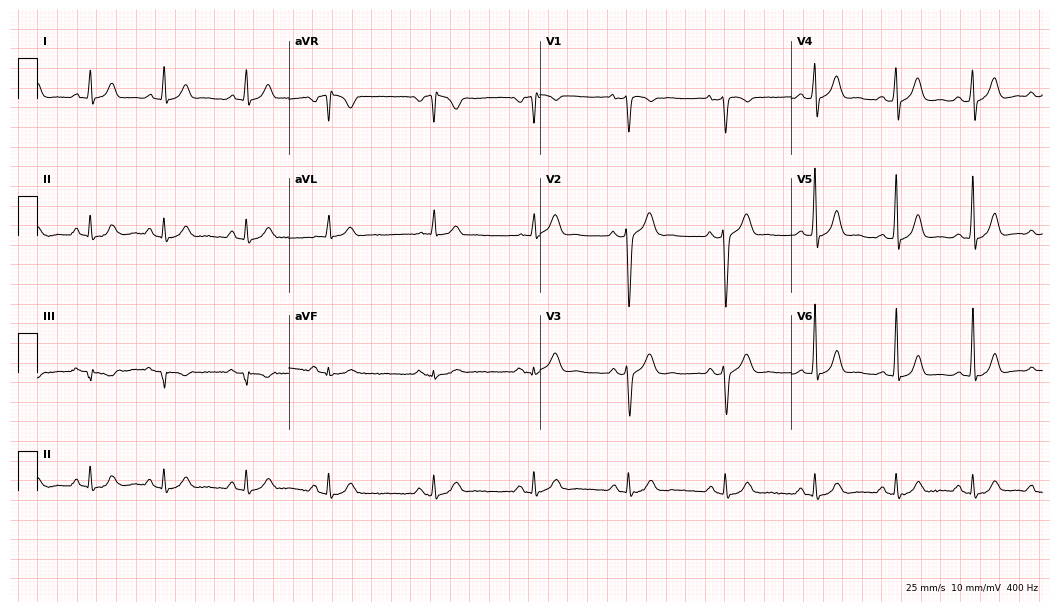
ECG — a 31-year-old man. Screened for six findings — first-degree AV block, right bundle branch block, left bundle branch block, sinus bradycardia, atrial fibrillation, sinus tachycardia — none is recorded.